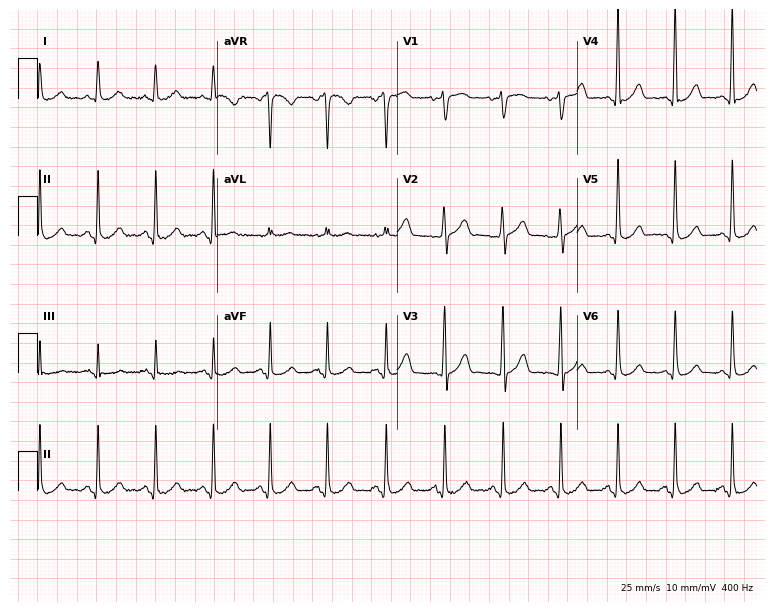
12-lead ECG from a 48-year-old woman (7.3-second recording at 400 Hz). Shows sinus tachycardia (a sinus rate of 100 beats per minute or more).